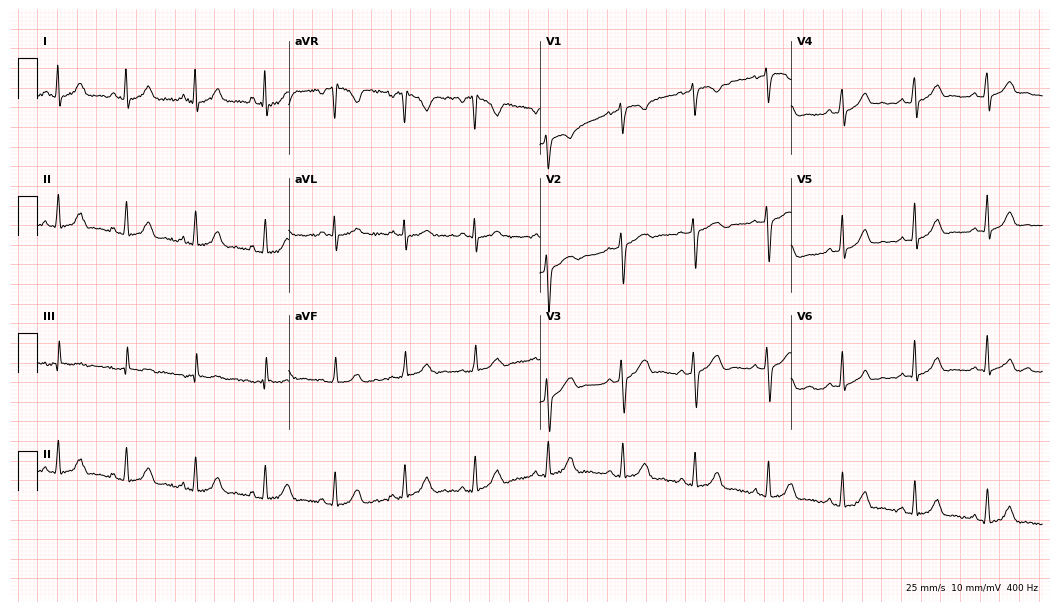
Electrocardiogram (10.2-second recording at 400 Hz), a 30-year-old woman. Overall reading on record: normal ECG.